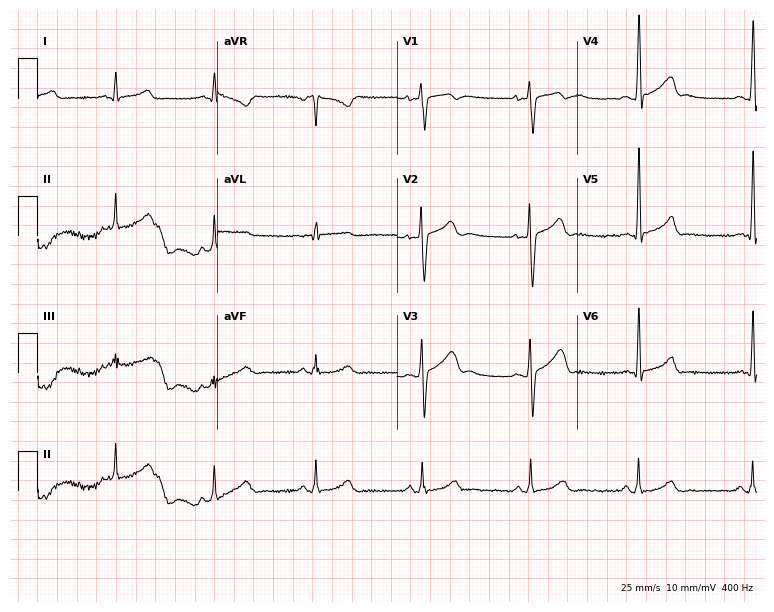
Resting 12-lead electrocardiogram. Patient: a male, 21 years old. None of these six findings is recorded: first-degree AV block, right bundle branch block, left bundle branch block, sinus bradycardia, atrial fibrillation, sinus tachycardia.